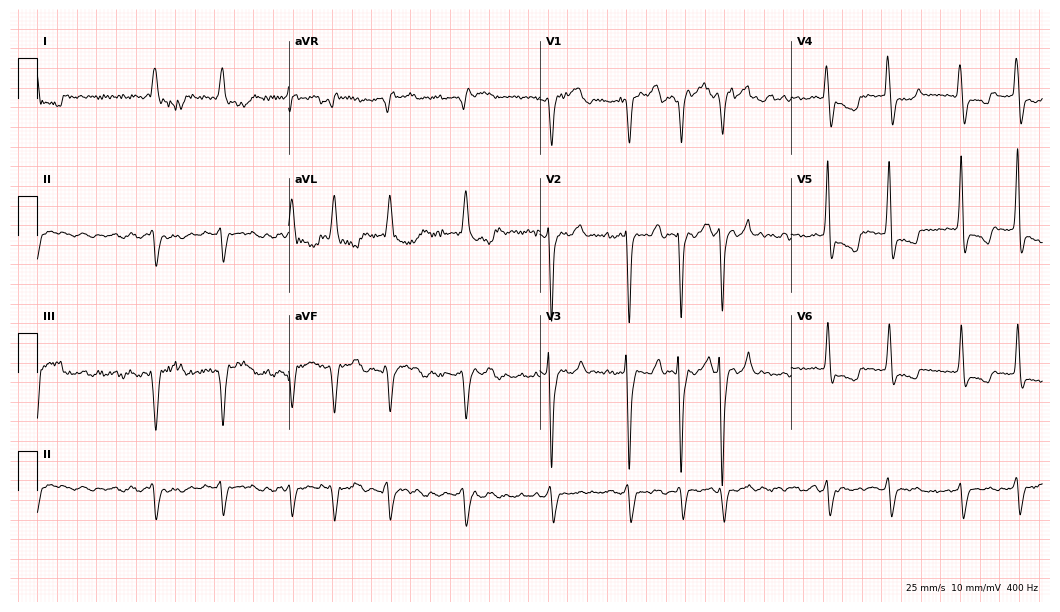
12-lead ECG (10.2-second recording at 400 Hz) from a male patient, 61 years old. Findings include left bundle branch block, atrial fibrillation.